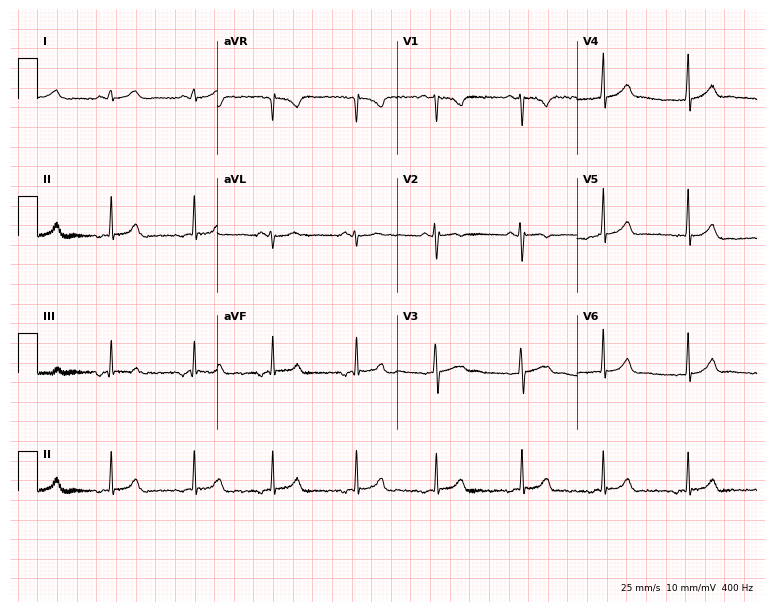
ECG — a female, 18 years old. Screened for six findings — first-degree AV block, right bundle branch block, left bundle branch block, sinus bradycardia, atrial fibrillation, sinus tachycardia — none is recorded. Other findings, if any, are not listed.